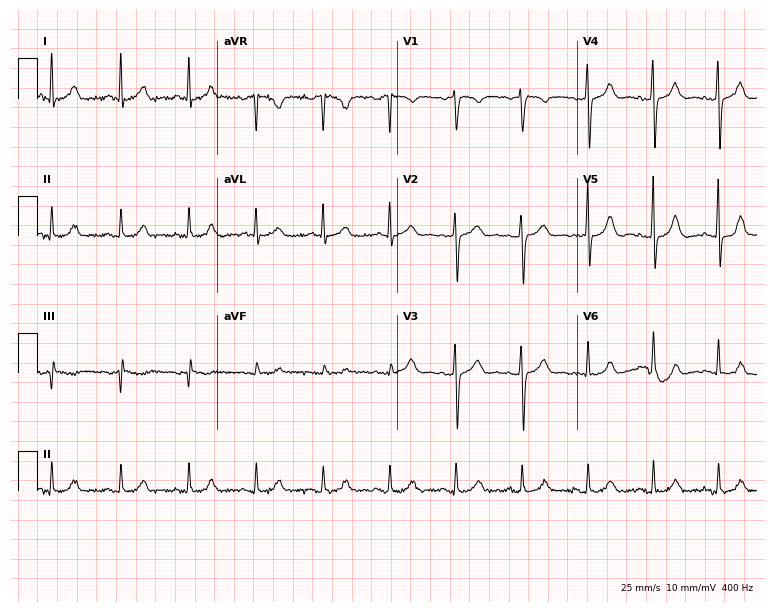
Resting 12-lead electrocardiogram (7.3-second recording at 400 Hz). Patient: a woman, 43 years old. Read as a normal ECG.